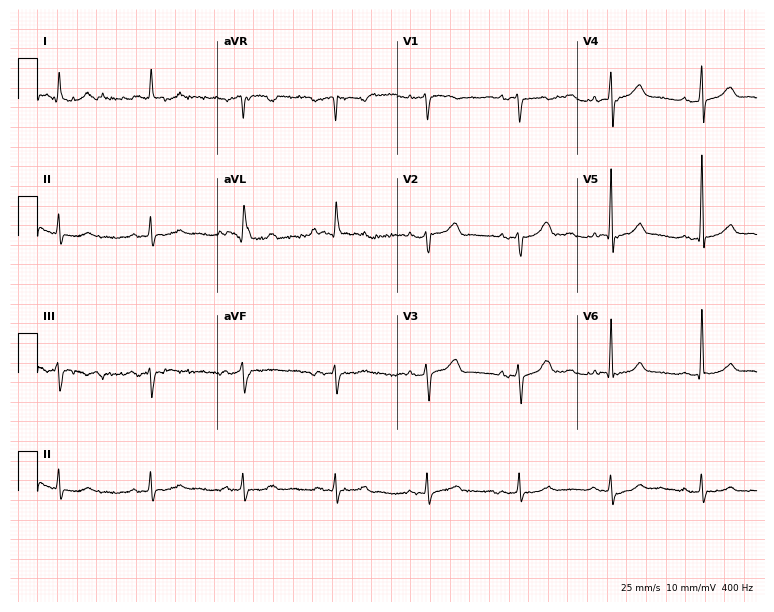
Standard 12-lead ECG recorded from a 78-year-old male. None of these six findings is recorded: first-degree AV block, right bundle branch block, left bundle branch block, sinus bradycardia, atrial fibrillation, sinus tachycardia.